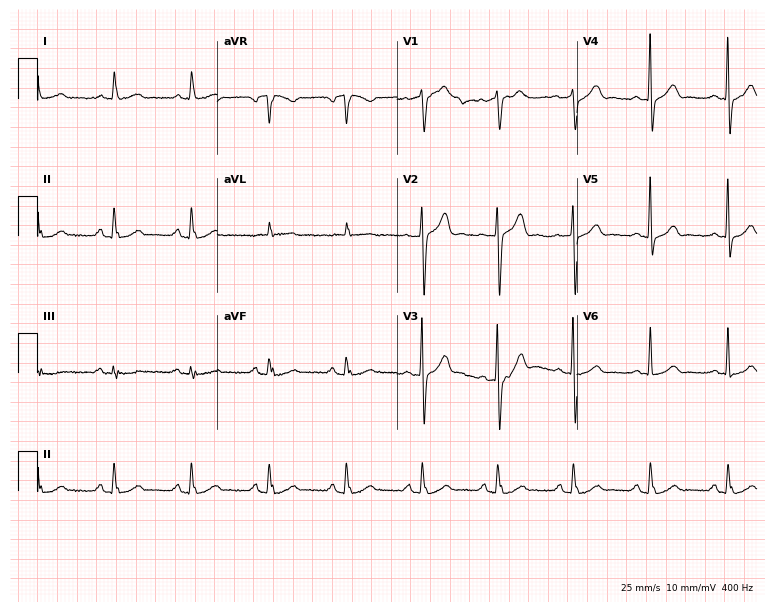
12-lead ECG from a 69-year-old male. Labelled as a normal ECG.